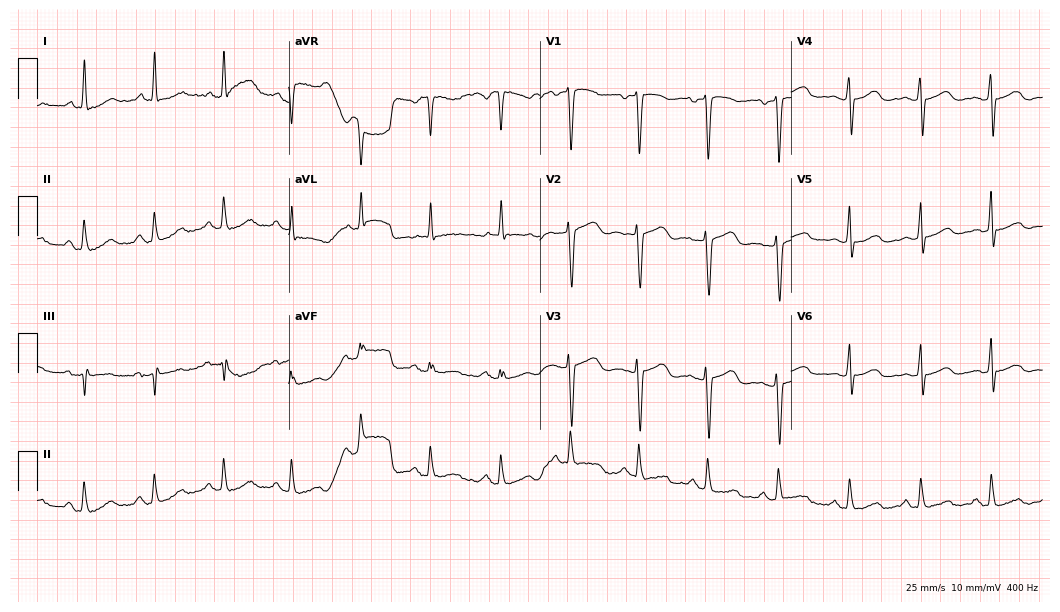
Electrocardiogram, a female, 58 years old. Of the six screened findings (first-degree AV block, right bundle branch block (RBBB), left bundle branch block (LBBB), sinus bradycardia, atrial fibrillation (AF), sinus tachycardia), none is recorded. Other findings, if any, are not listed.